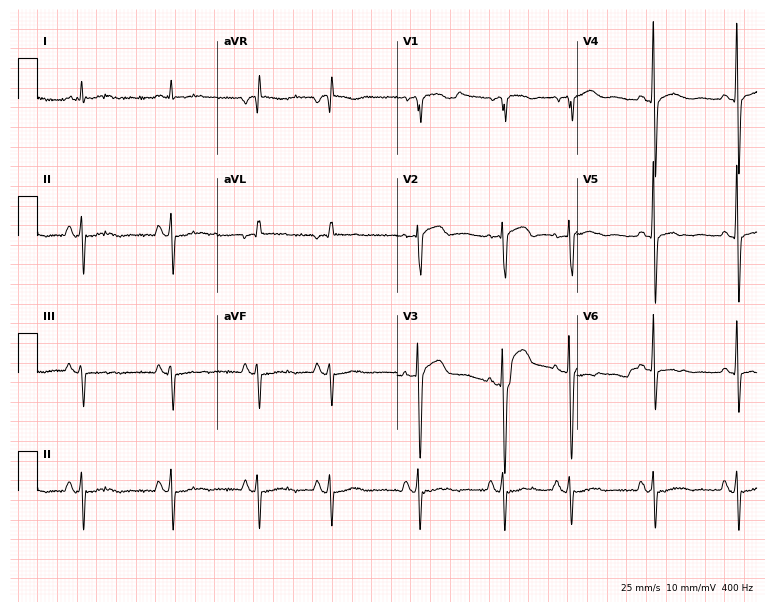
Standard 12-lead ECG recorded from an 83-year-old male. None of these six findings is recorded: first-degree AV block, right bundle branch block, left bundle branch block, sinus bradycardia, atrial fibrillation, sinus tachycardia.